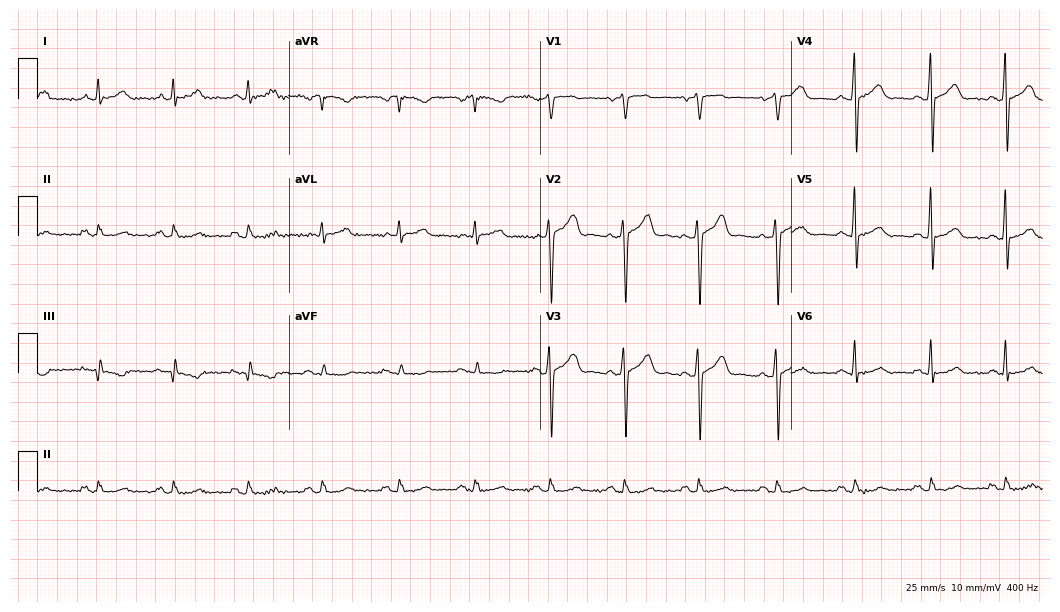
Standard 12-lead ECG recorded from a 59-year-old male patient. Read as a normal ECG.